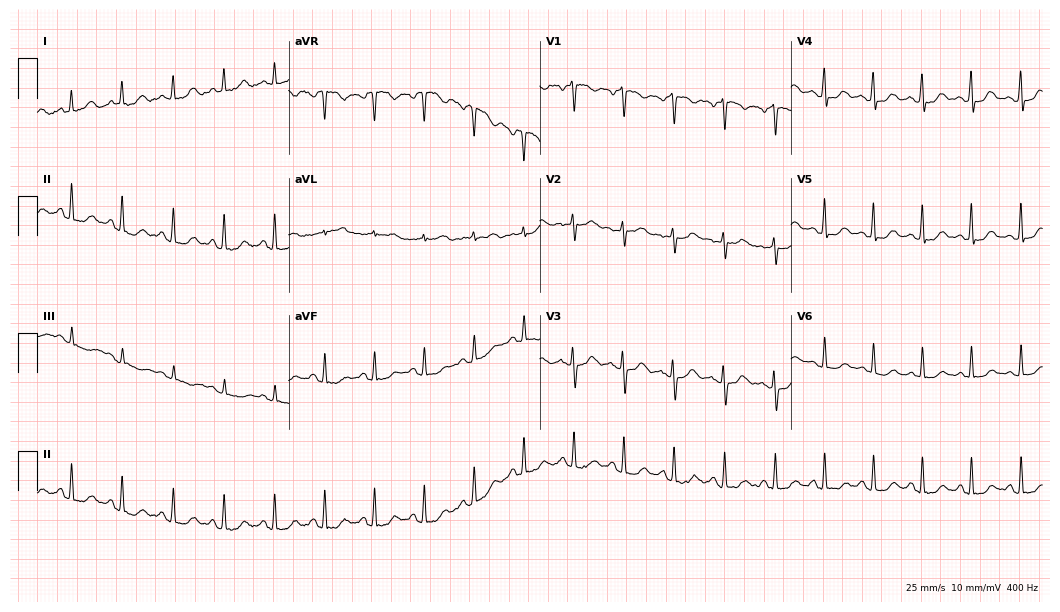
12-lead ECG (10.2-second recording at 400 Hz) from a 33-year-old woman. Screened for six findings — first-degree AV block, right bundle branch block, left bundle branch block, sinus bradycardia, atrial fibrillation, sinus tachycardia — none is recorded. Only these six findings were labelled.